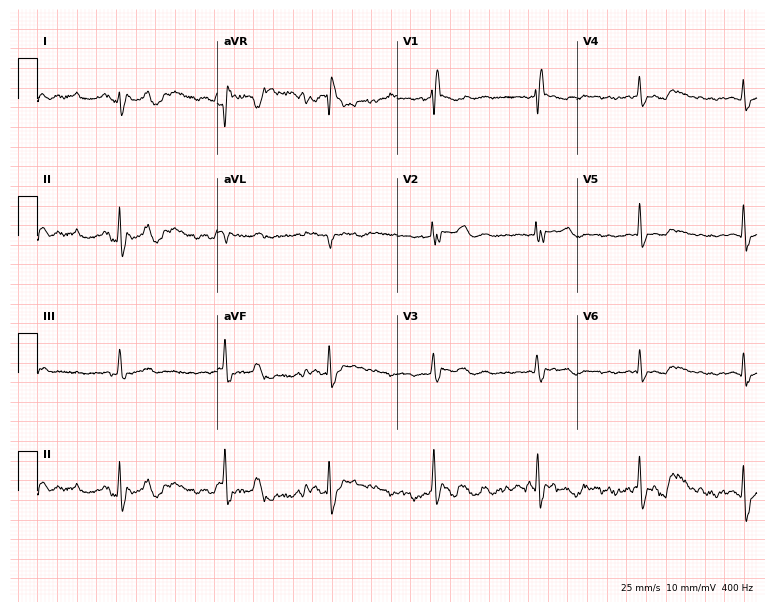
Resting 12-lead electrocardiogram. Patient: a 40-year-old male. None of these six findings is recorded: first-degree AV block, right bundle branch block, left bundle branch block, sinus bradycardia, atrial fibrillation, sinus tachycardia. Other findings, if any, are not listed.